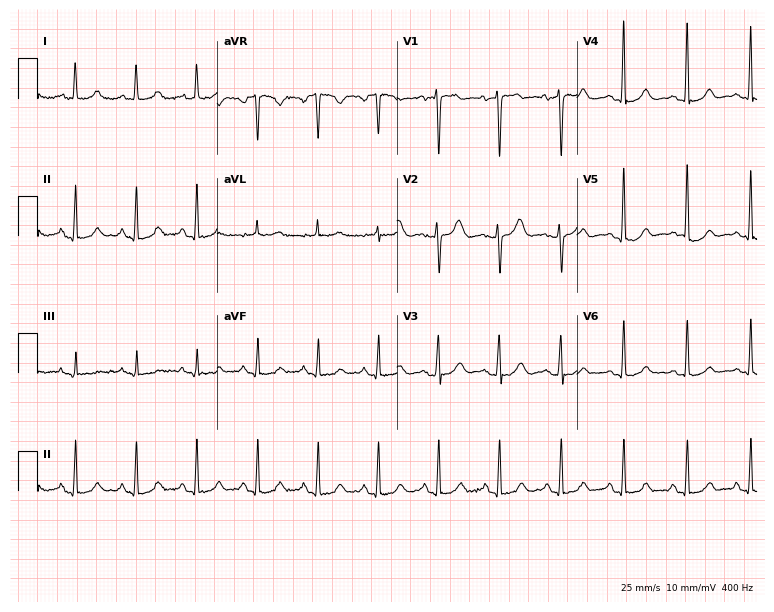
Electrocardiogram (7.3-second recording at 400 Hz), a 67-year-old female patient. Overall reading on record: normal ECG.